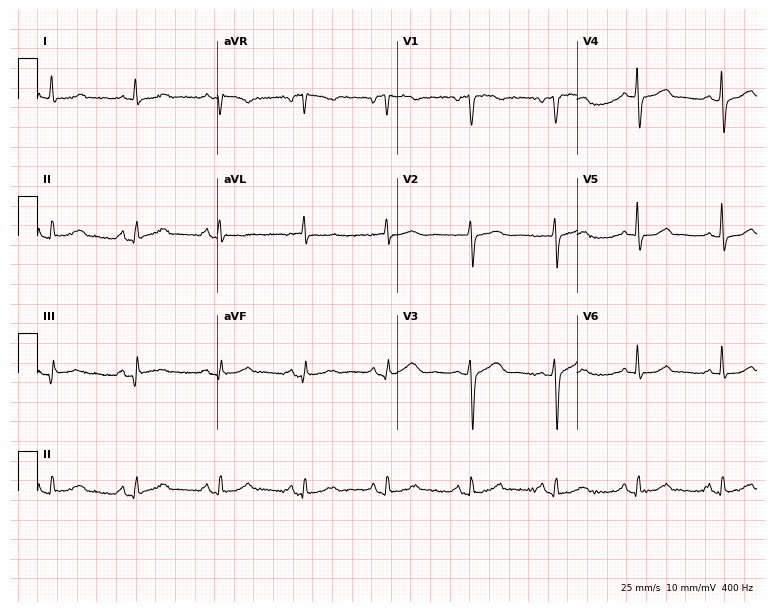
Electrocardiogram (7.3-second recording at 400 Hz), a female, 64 years old. Of the six screened findings (first-degree AV block, right bundle branch block (RBBB), left bundle branch block (LBBB), sinus bradycardia, atrial fibrillation (AF), sinus tachycardia), none is recorded.